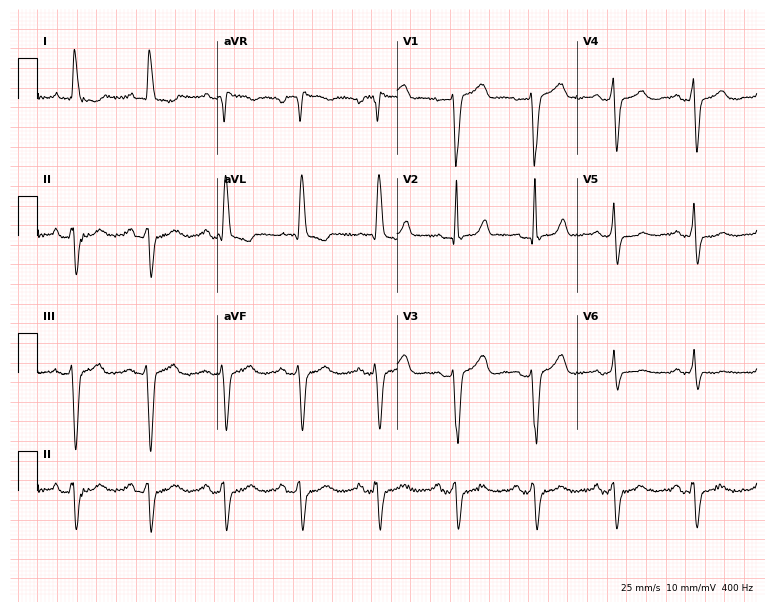
ECG (7.3-second recording at 400 Hz) — a female patient, 84 years old. Screened for six findings — first-degree AV block, right bundle branch block, left bundle branch block, sinus bradycardia, atrial fibrillation, sinus tachycardia — none is recorded.